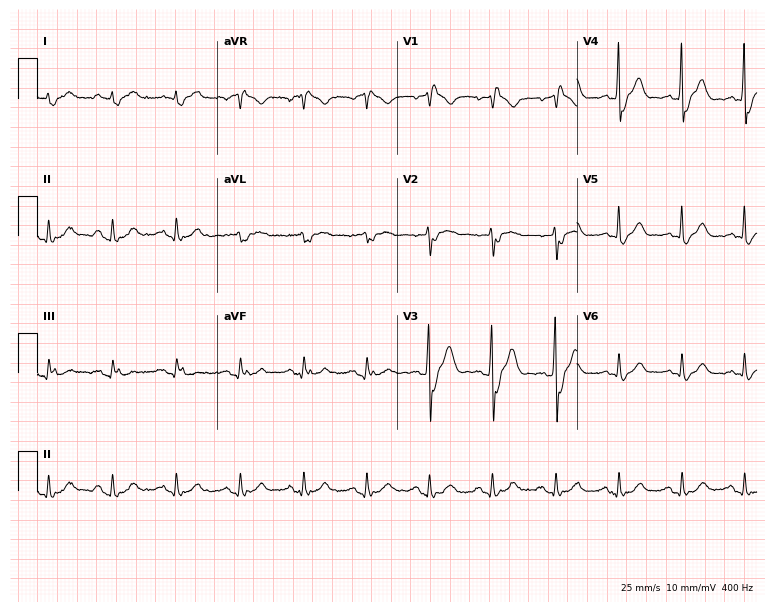
12-lead ECG from a male, 69 years old (7.3-second recording at 400 Hz). Shows right bundle branch block (RBBB).